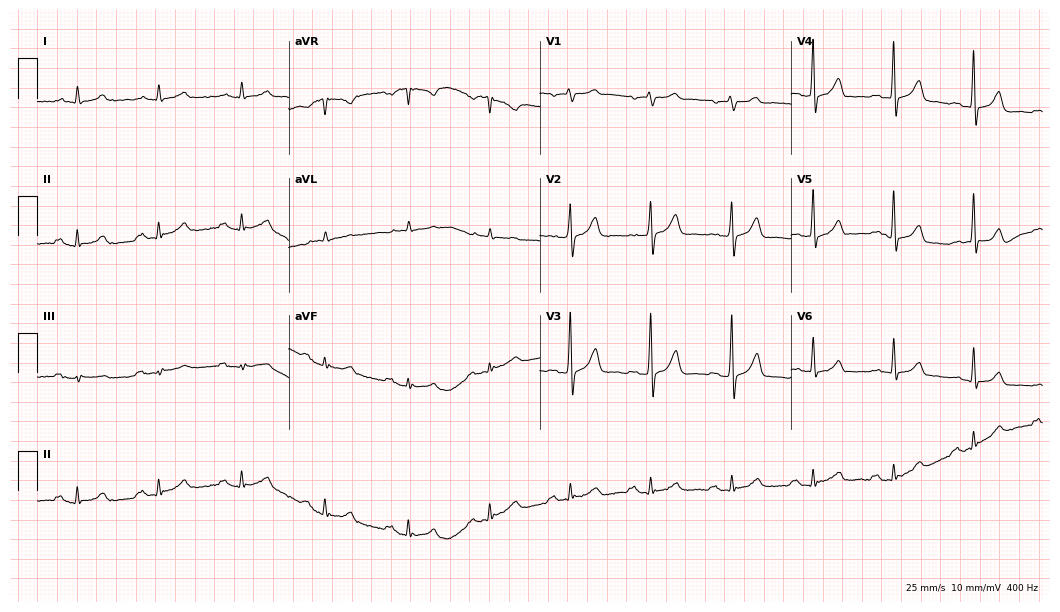
ECG — a woman, 63 years old. Screened for six findings — first-degree AV block, right bundle branch block (RBBB), left bundle branch block (LBBB), sinus bradycardia, atrial fibrillation (AF), sinus tachycardia — none is recorded.